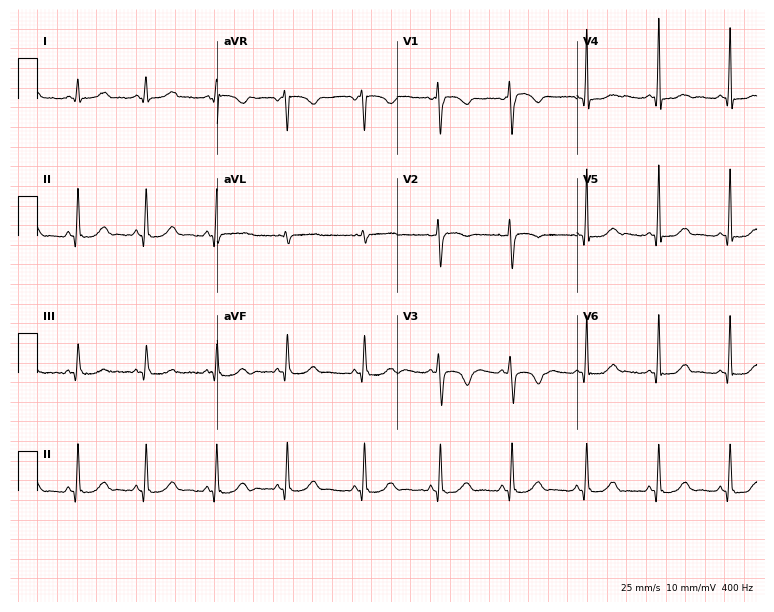
12-lead ECG from a woman, 26 years old. Recorded interpretation: within normal limits.